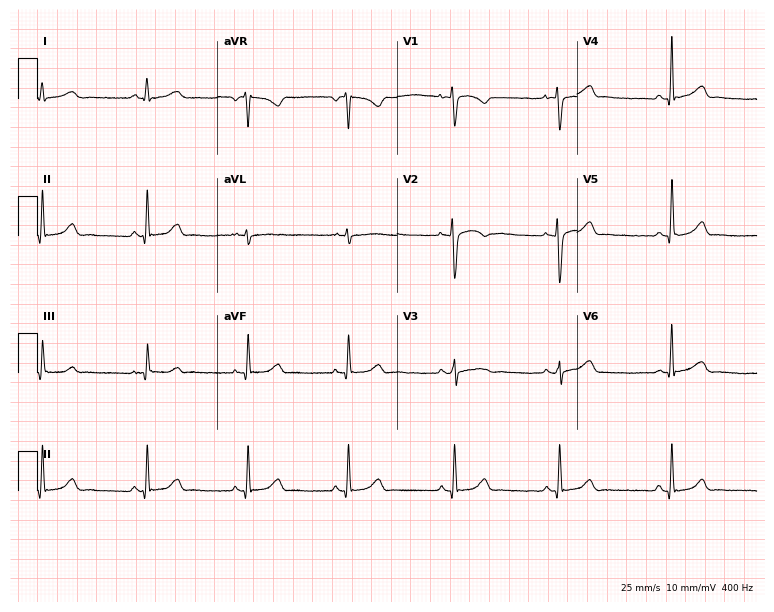
12-lead ECG from a 24-year-old woman (7.3-second recording at 400 Hz). Recorded interpretation: within normal limits.